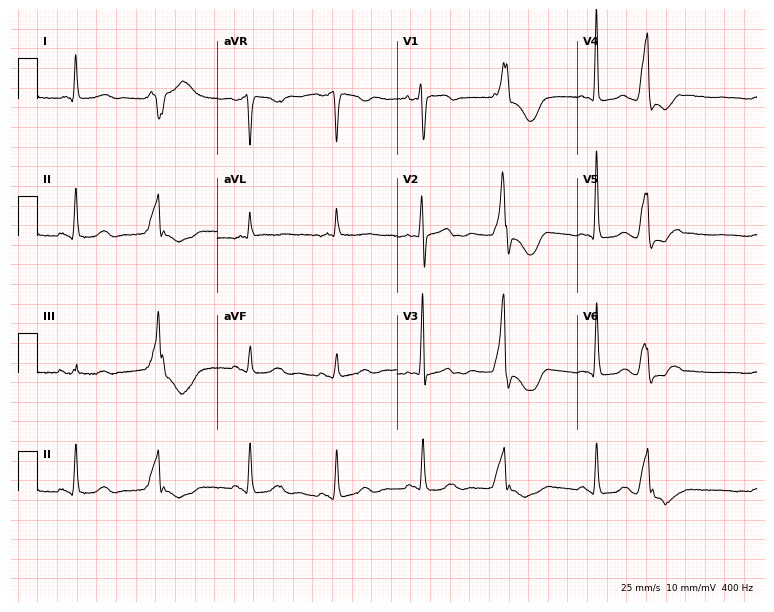
Electrocardiogram (7.3-second recording at 400 Hz), a 76-year-old female. Of the six screened findings (first-degree AV block, right bundle branch block (RBBB), left bundle branch block (LBBB), sinus bradycardia, atrial fibrillation (AF), sinus tachycardia), none is recorded. Other findings, if any, are not listed.